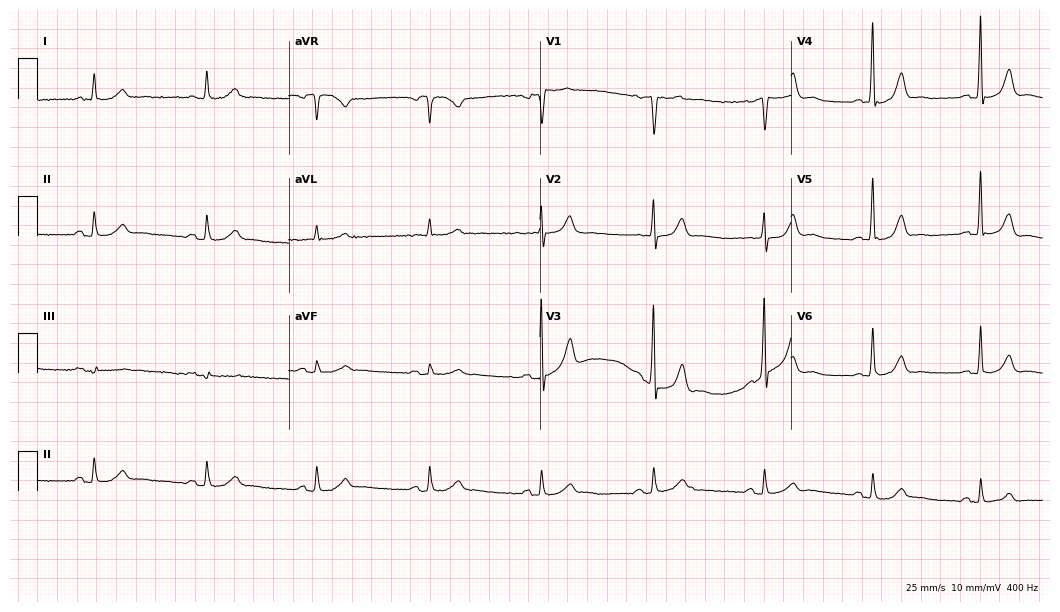
Electrocardiogram, a 62-year-old male patient. Overall reading on record: normal ECG.